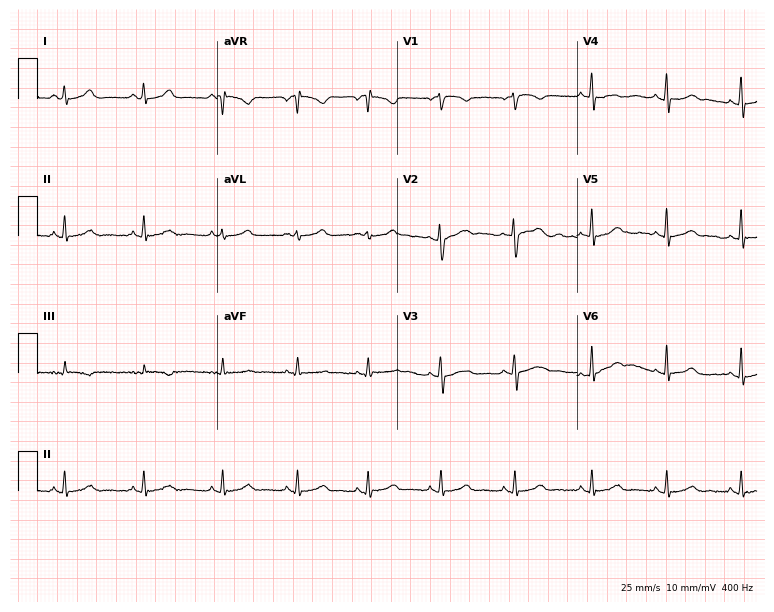
Standard 12-lead ECG recorded from a 30-year-old woman. Read as a normal ECG.